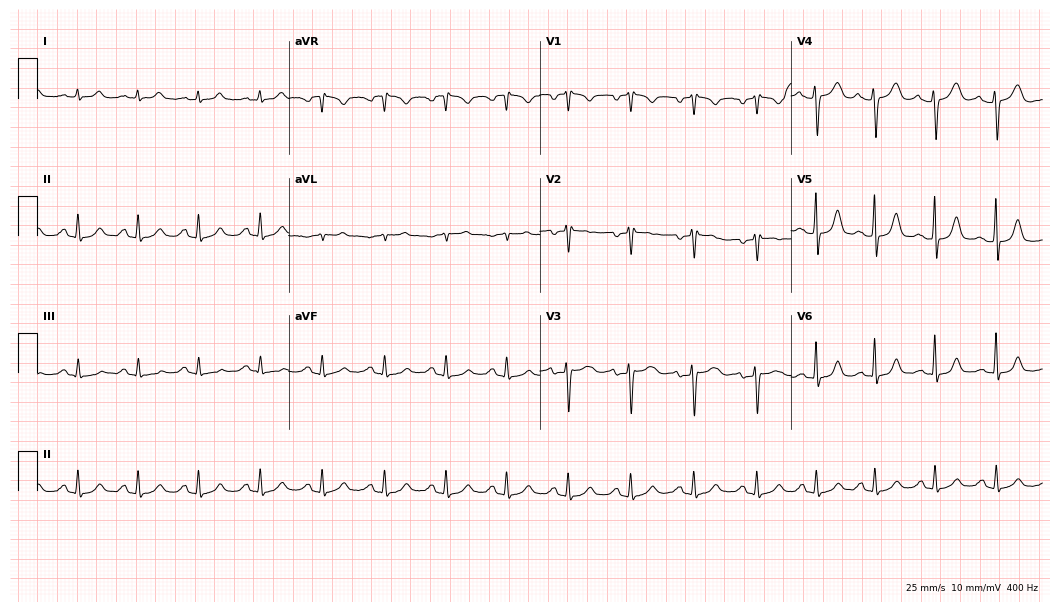
12-lead ECG from a 39-year-old woman (10.2-second recording at 400 Hz). Recorded interpretation: within normal limits.